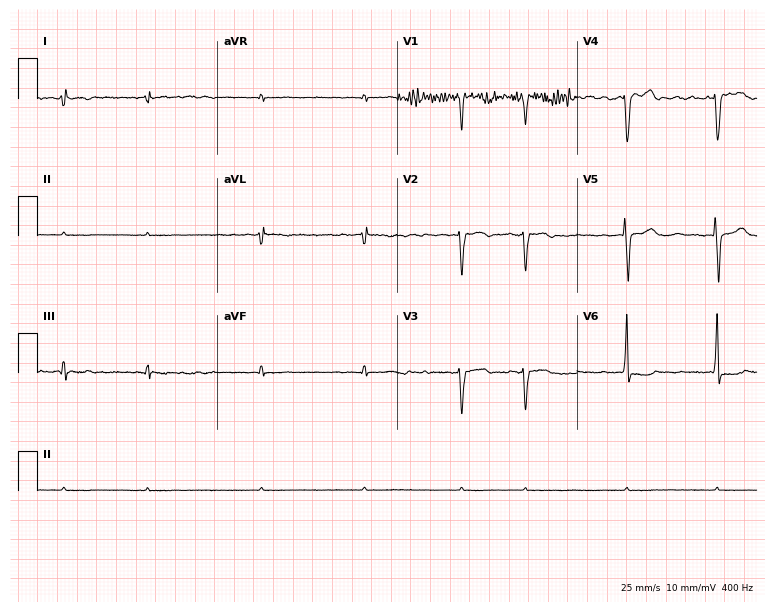
Standard 12-lead ECG recorded from a 64-year-old woman (7.3-second recording at 400 Hz). None of these six findings is recorded: first-degree AV block, right bundle branch block, left bundle branch block, sinus bradycardia, atrial fibrillation, sinus tachycardia.